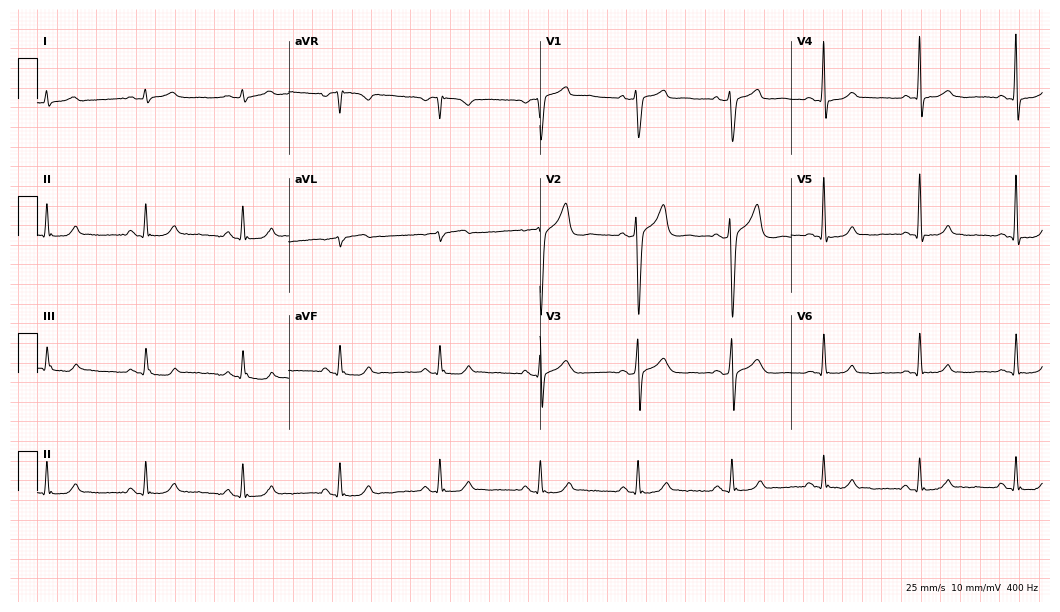
ECG (10.2-second recording at 400 Hz) — a 54-year-old man. Labelled as a normal ECG.